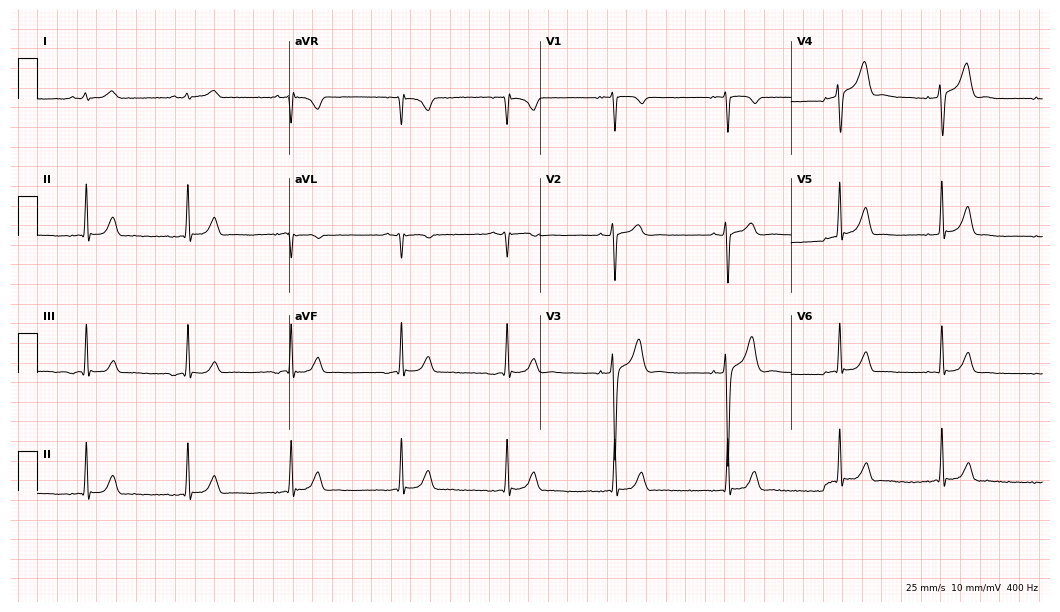
Standard 12-lead ECG recorded from a man, 25 years old (10.2-second recording at 400 Hz). Read as a normal ECG.